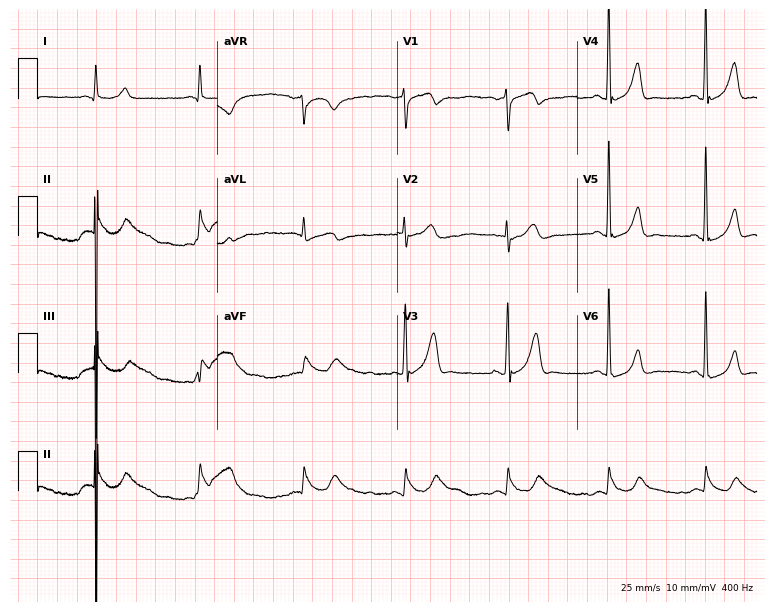
Standard 12-lead ECG recorded from a male patient, 79 years old (7.3-second recording at 400 Hz). None of these six findings is recorded: first-degree AV block, right bundle branch block (RBBB), left bundle branch block (LBBB), sinus bradycardia, atrial fibrillation (AF), sinus tachycardia.